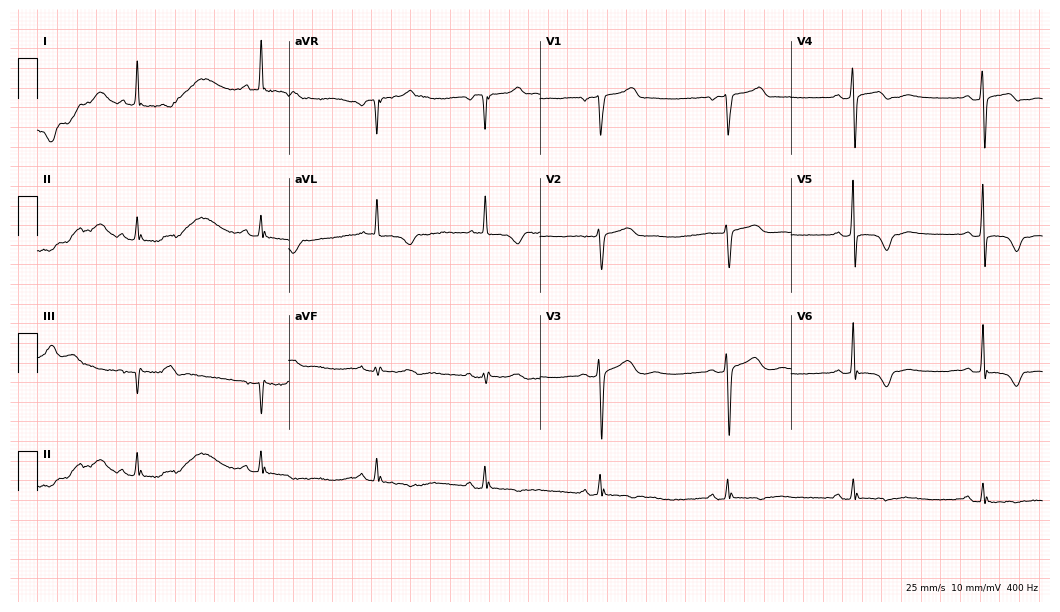
Standard 12-lead ECG recorded from a female patient, 60 years old. None of these six findings is recorded: first-degree AV block, right bundle branch block, left bundle branch block, sinus bradycardia, atrial fibrillation, sinus tachycardia.